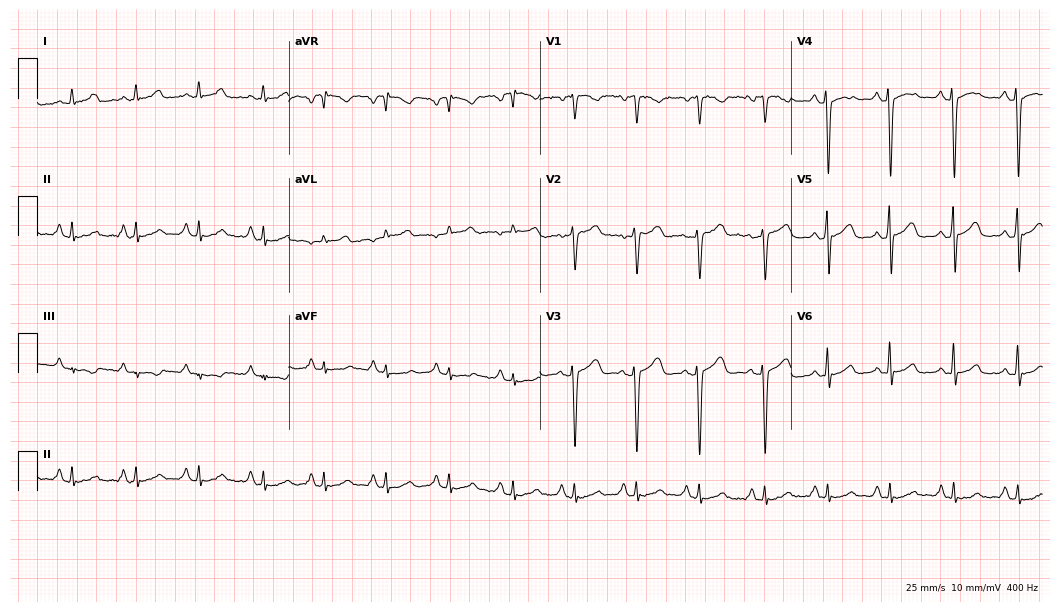
12-lead ECG from a 32-year-old female patient. Labelled as a normal ECG.